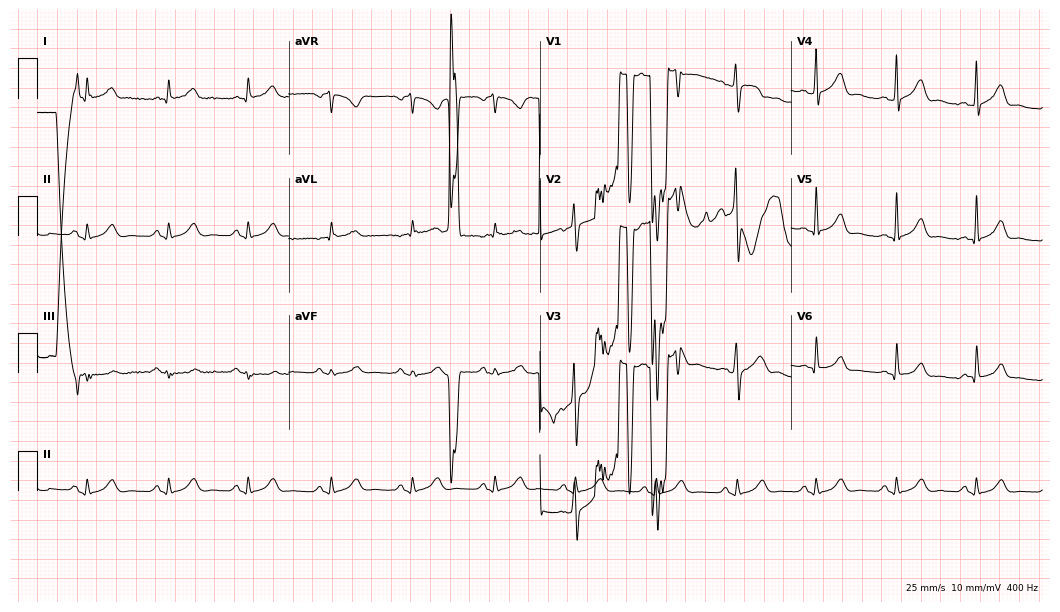
Resting 12-lead electrocardiogram (10.2-second recording at 400 Hz). Patient: a 53-year-old male. None of these six findings is recorded: first-degree AV block, right bundle branch block (RBBB), left bundle branch block (LBBB), sinus bradycardia, atrial fibrillation (AF), sinus tachycardia.